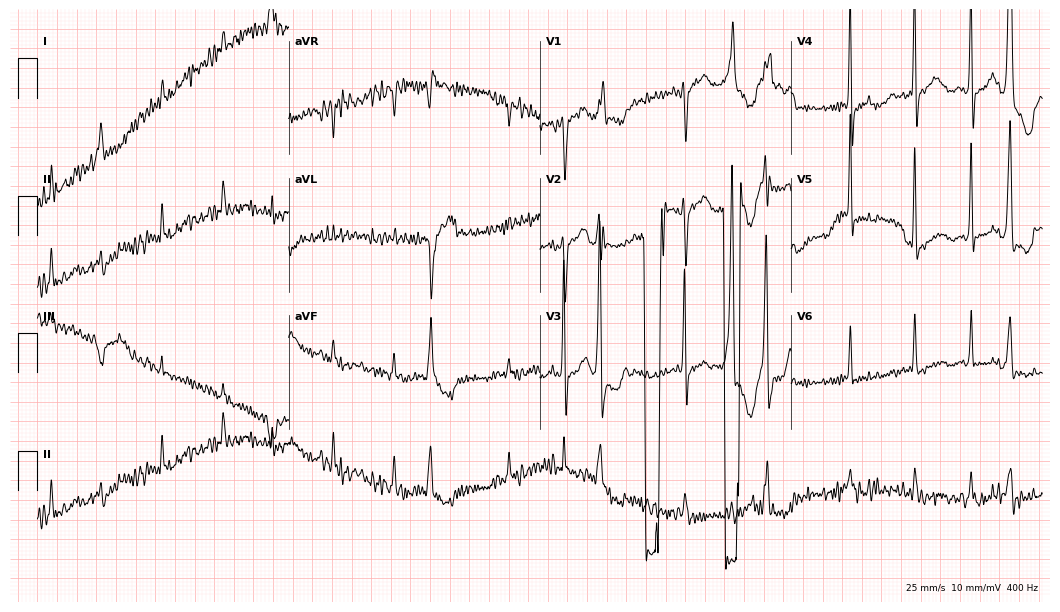
Standard 12-lead ECG recorded from a female, 65 years old. None of these six findings is recorded: first-degree AV block, right bundle branch block (RBBB), left bundle branch block (LBBB), sinus bradycardia, atrial fibrillation (AF), sinus tachycardia. Other findings, if any, are not listed.